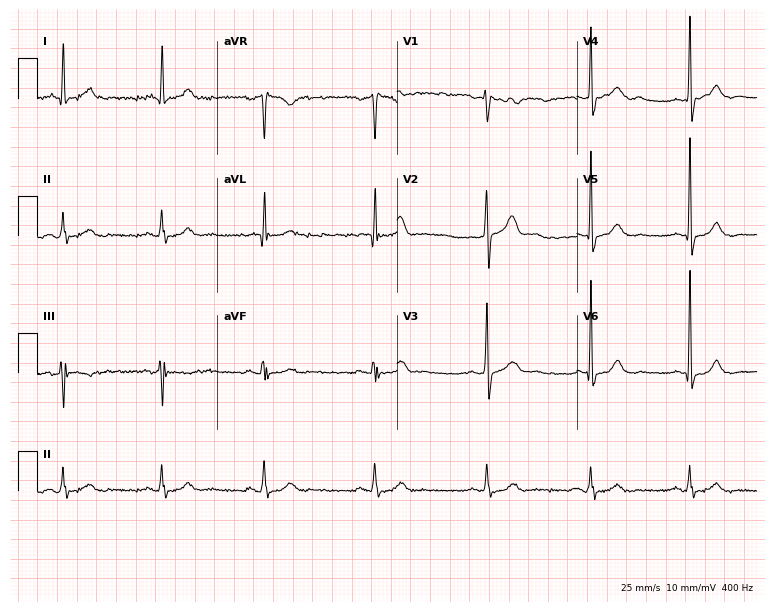
Electrocardiogram, a male, 47 years old. Overall reading on record: normal ECG.